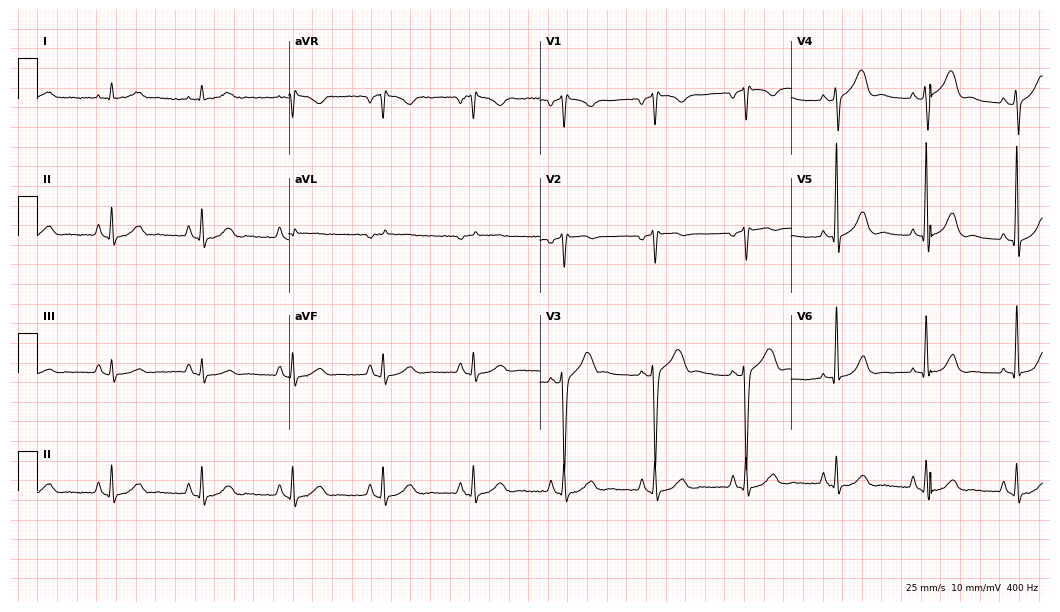
Standard 12-lead ECG recorded from a 65-year-old man (10.2-second recording at 400 Hz). Read as a normal ECG.